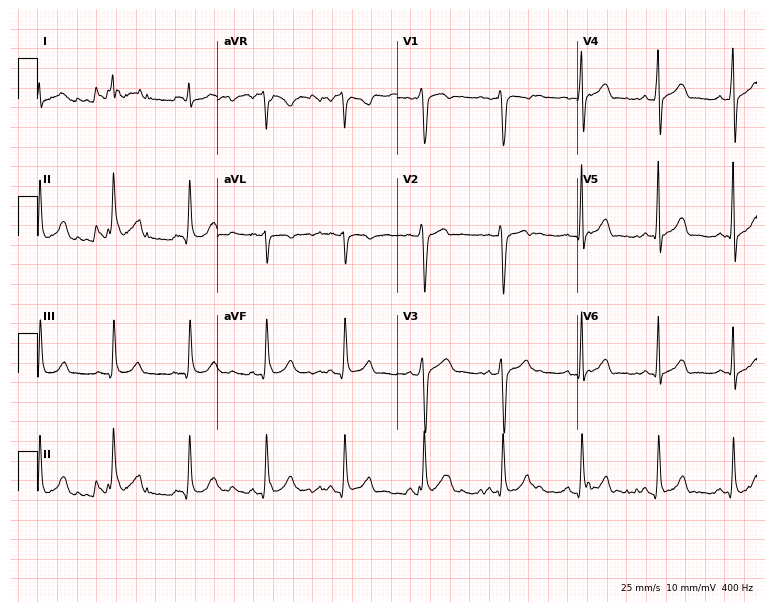
Electrocardiogram (7.3-second recording at 400 Hz), a 31-year-old male. Overall reading on record: normal ECG.